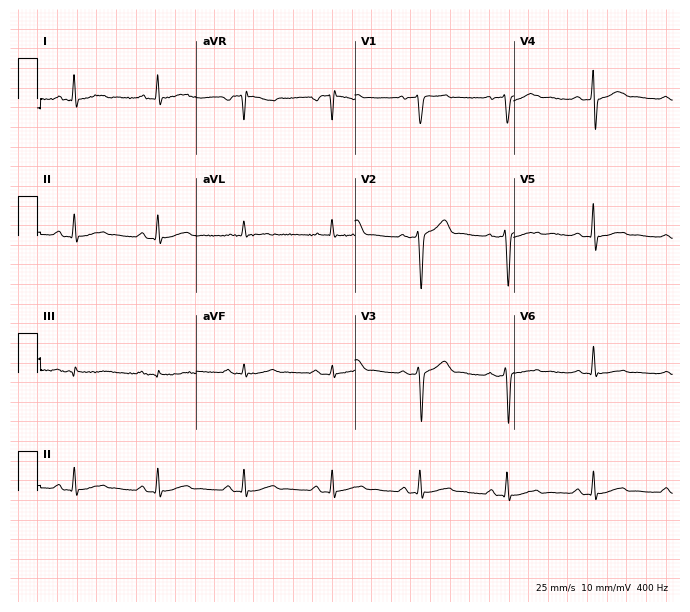
Electrocardiogram, a 54-year-old male patient. Of the six screened findings (first-degree AV block, right bundle branch block, left bundle branch block, sinus bradycardia, atrial fibrillation, sinus tachycardia), none is recorded. Findings outside these six are not listed.